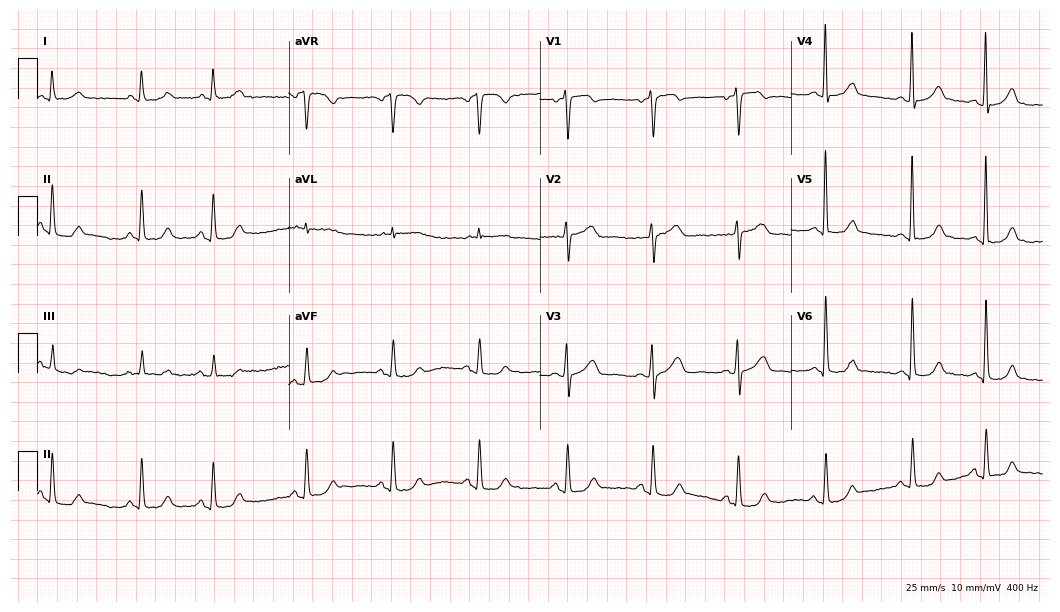
Standard 12-lead ECG recorded from a woman, 64 years old (10.2-second recording at 400 Hz). Read as a normal ECG.